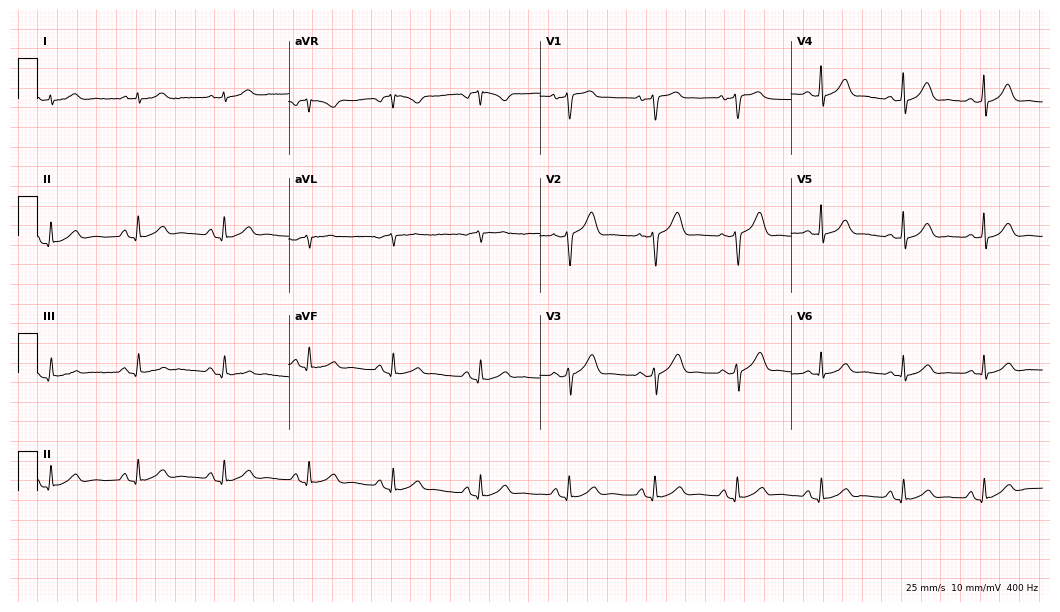
Electrocardiogram, a female, 63 years old. Overall reading on record: normal ECG.